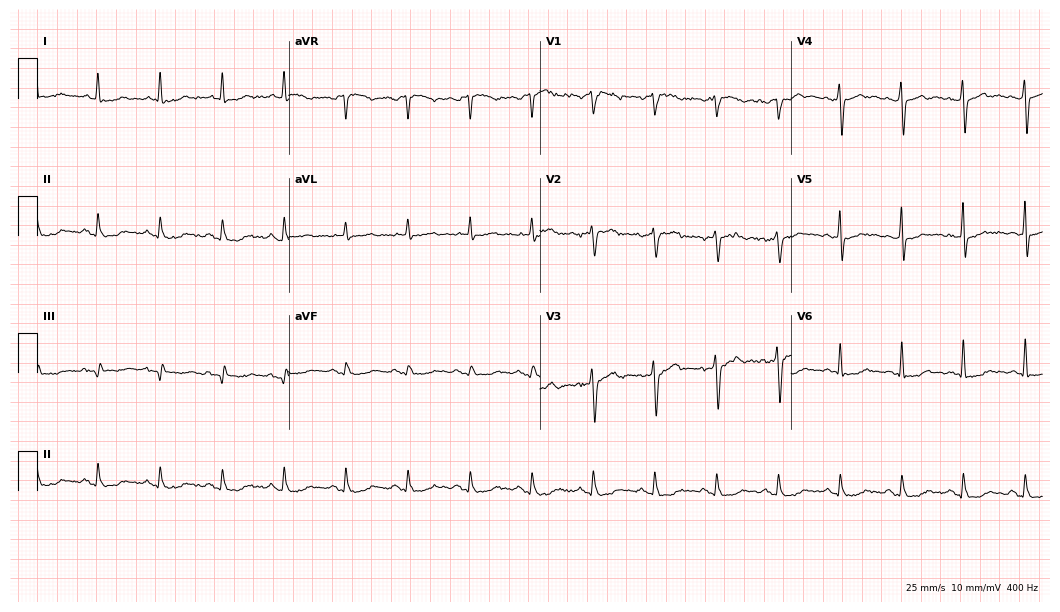
ECG — an 85-year-old man. Screened for six findings — first-degree AV block, right bundle branch block (RBBB), left bundle branch block (LBBB), sinus bradycardia, atrial fibrillation (AF), sinus tachycardia — none is recorded. Findings outside these six are not listed.